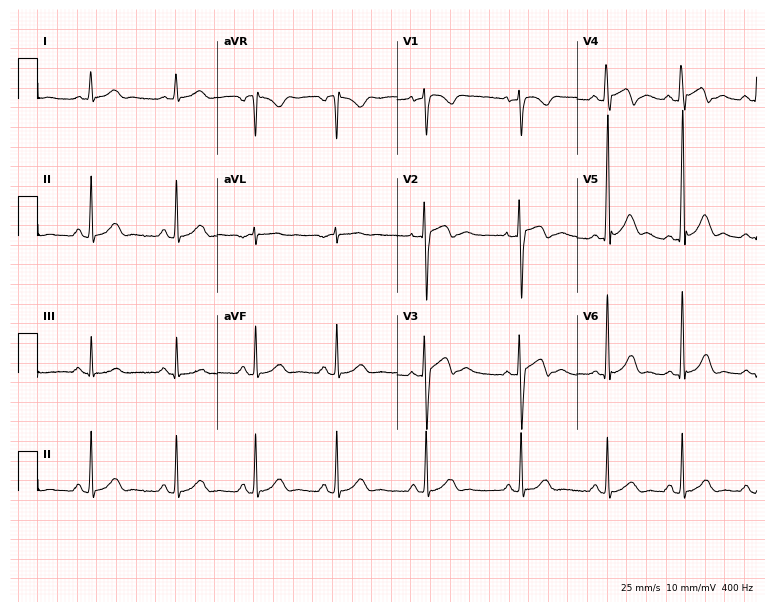
12-lead ECG from a man, 47 years old (7.3-second recording at 400 Hz). No first-degree AV block, right bundle branch block, left bundle branch block, sinus bradycardia, atrial fibrillation or sinus tachycardia recorded for this tracing.